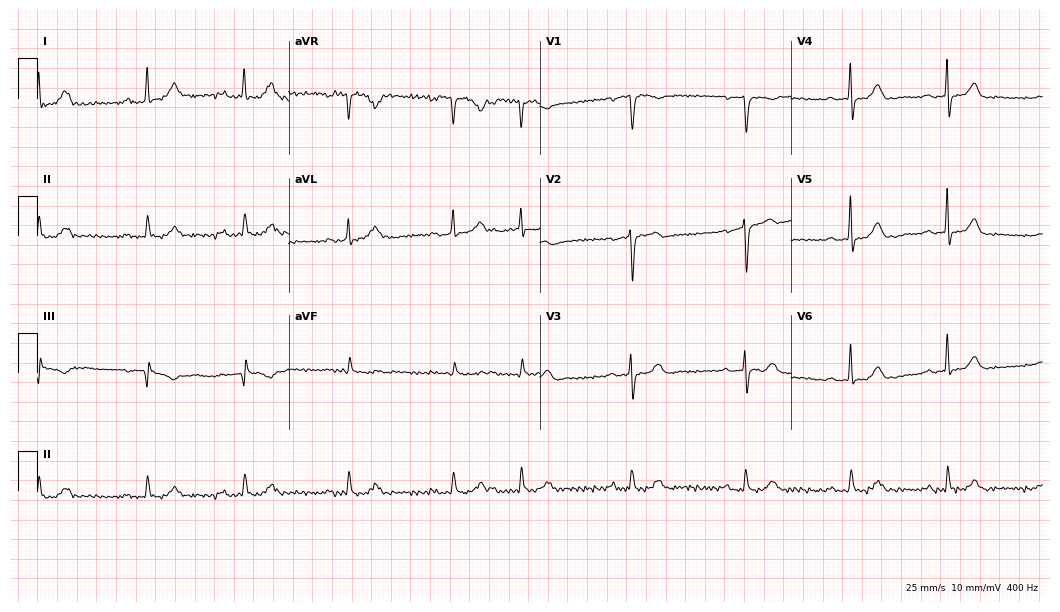
Standard 12-lead ECG recorded from a 74-year-old female patient (10.2-second recording at 400 Hz). Read as a normal ECG.